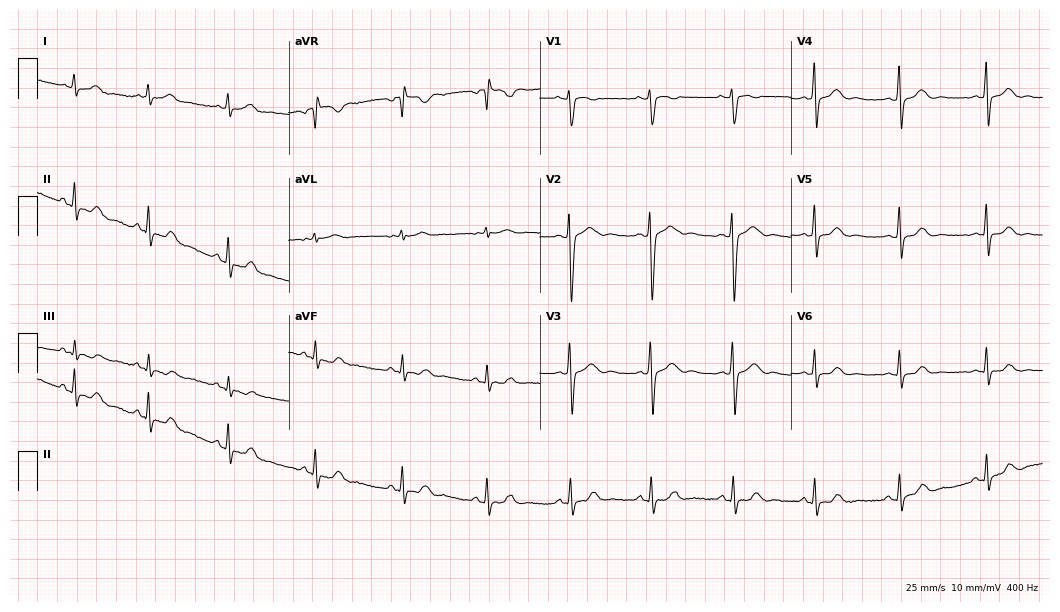
Electrocardiogram, a 32-year-old female patient. Overall reading on record: normal ECG.